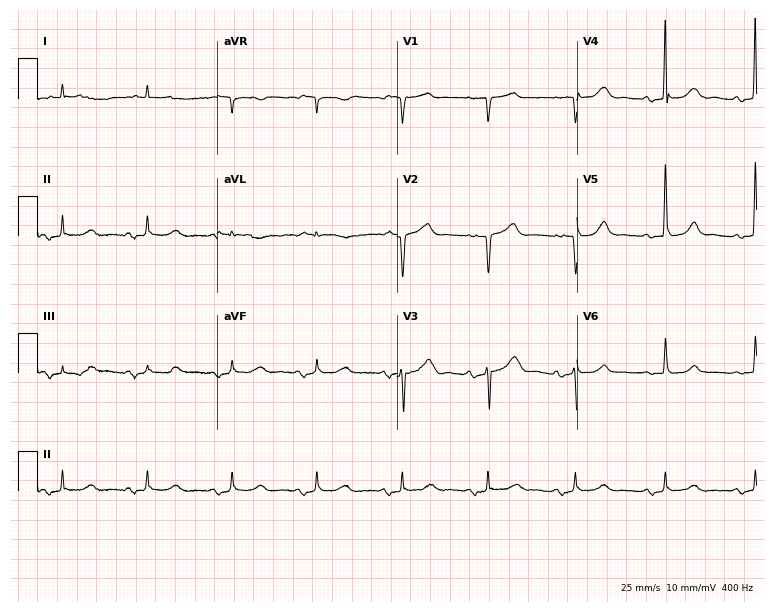
12-lead ECG from an 84-year-old male patient (7.3-second recording at 400 Hz). No first-degree AV block, right bundle branch block, left bundle branch block, sinus bradycardia, atrial fibrillation or sinus tachycardia recorded for this tracing.